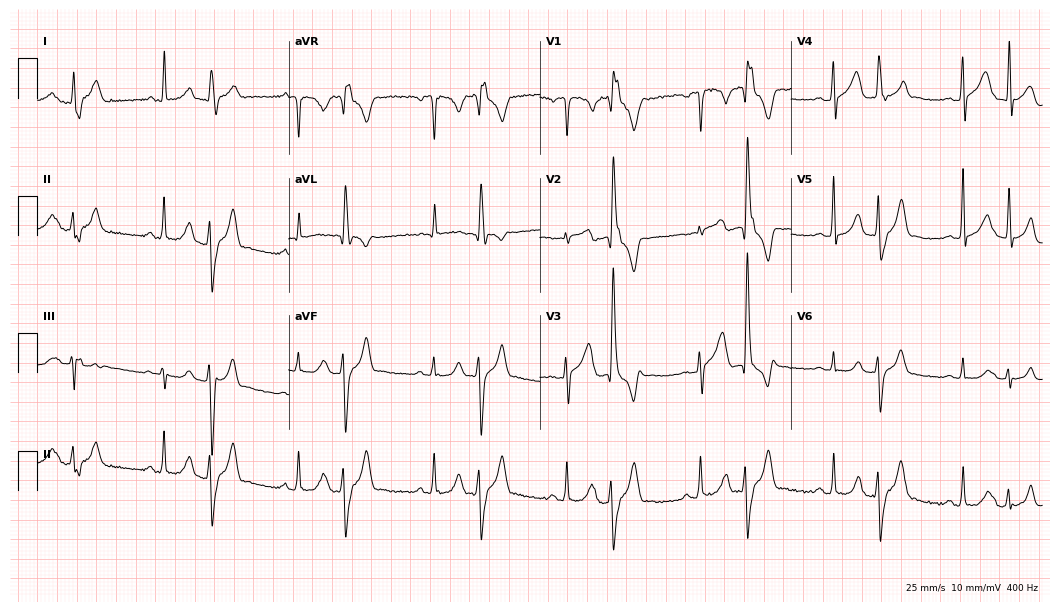
Standard 12-lead ECG recorded from a male, 48 years old (10.2-second recording at 400 Hz). Read as a normal ECG.